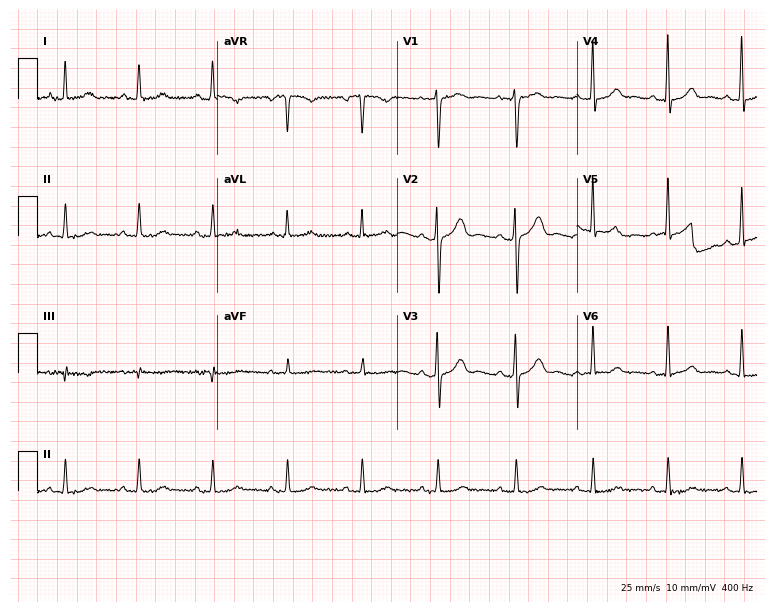
Resting 12-lead electrocardiogram (7.3-second recording at 400 Hz). Patient: a 29-year-old female. None of these six findings is recorded: first-degree AV block, right bundle branch block (RBBB), left bundle branch block (LBBB), sinus bradycardia, atrial fibrillation (AF), sinus tachycardia. Only these six findings were labelled.